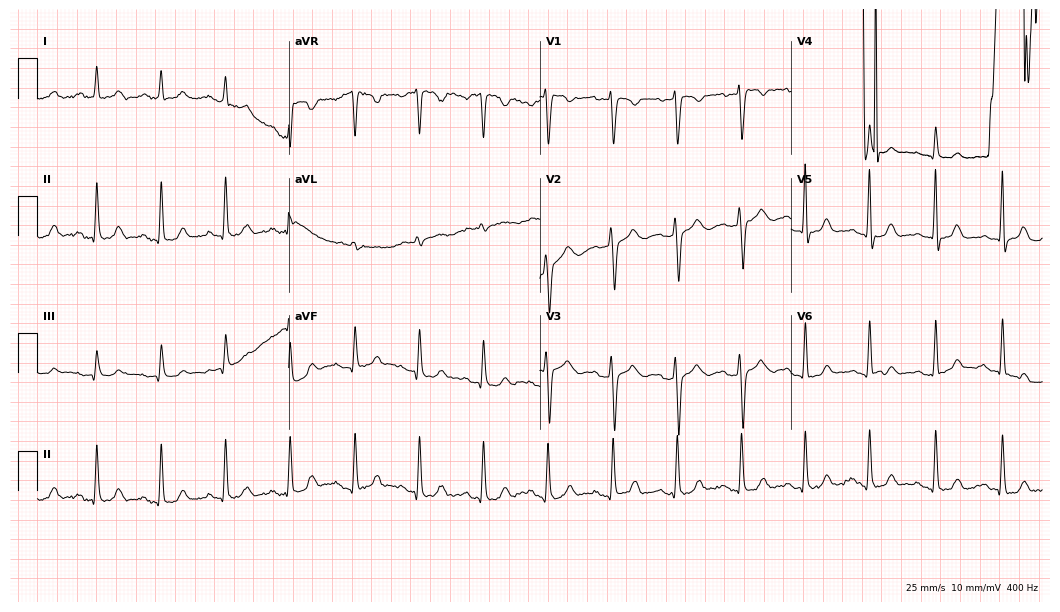
12-lead ECG (10.2-second recording at 400 Hz) from a 48-year-old woman. Screened for six findings — first-degree AV block, right bundle branch block, left bundle branch block, sinus bradycardia, atrial fibrillation, sinus tachycardia — none is recorded. Findings outside these six are not listed.